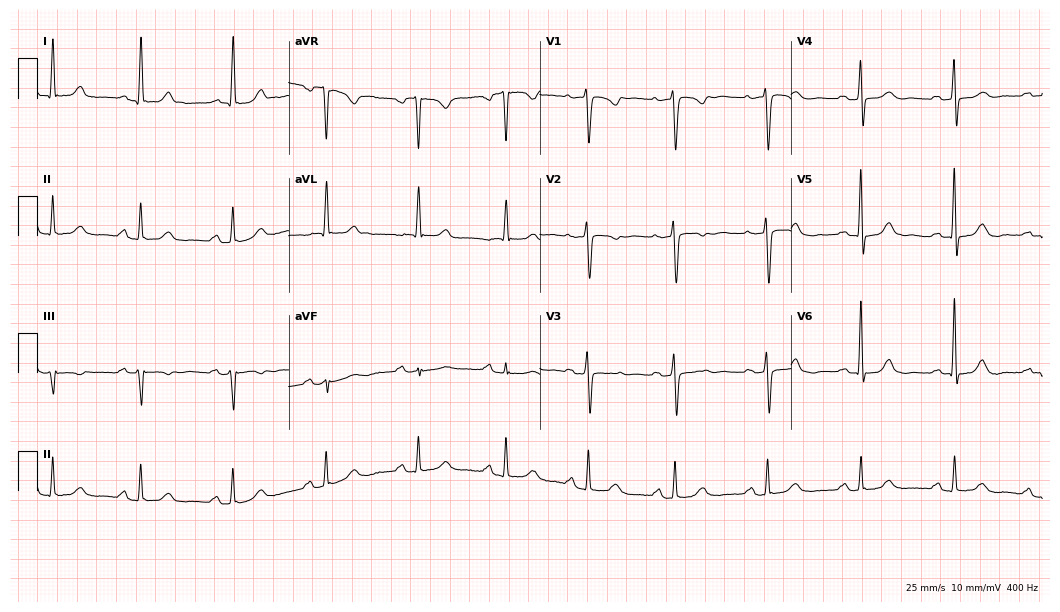
12-lead ECG from a 60-year-old woman. Labelled as a normal ECG.